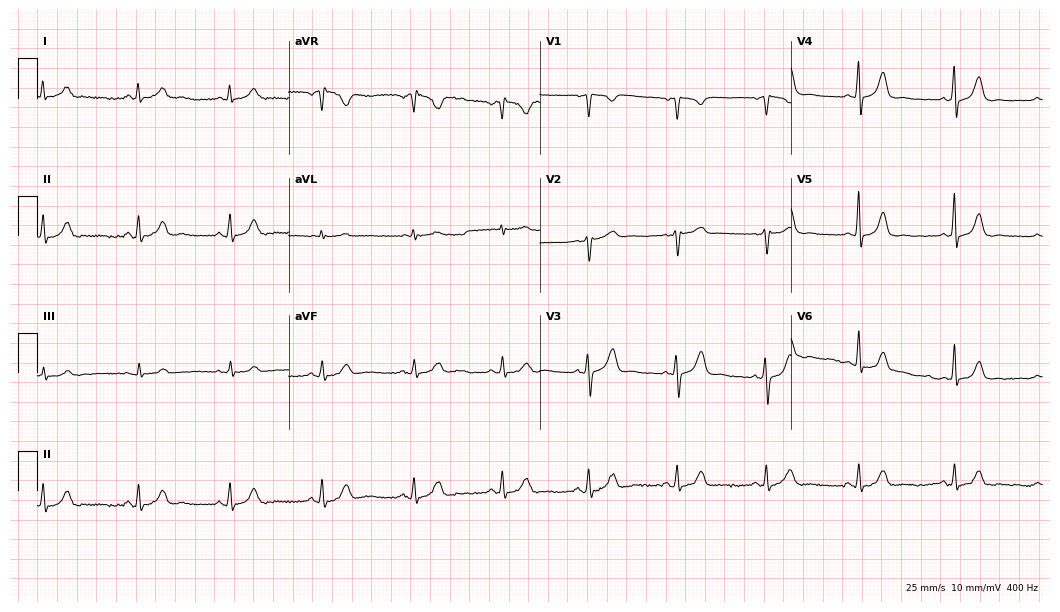
Resting 12-lead electrocardiogram. Patient: a 50-year-old female. Read as a normal ECG.